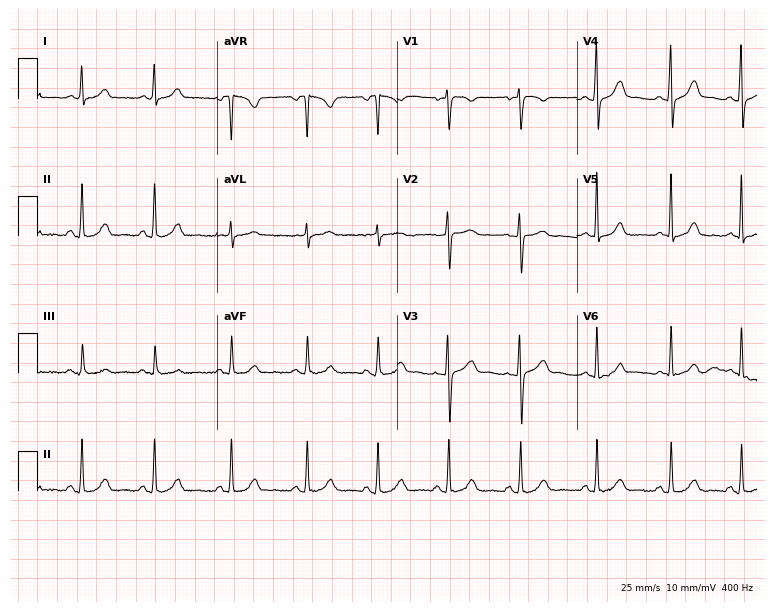
Resting 12-lead electrocardiogram (7.3-second recording at 400 Hz). Patient: a 36-year-old female. Read as a normal ECG.